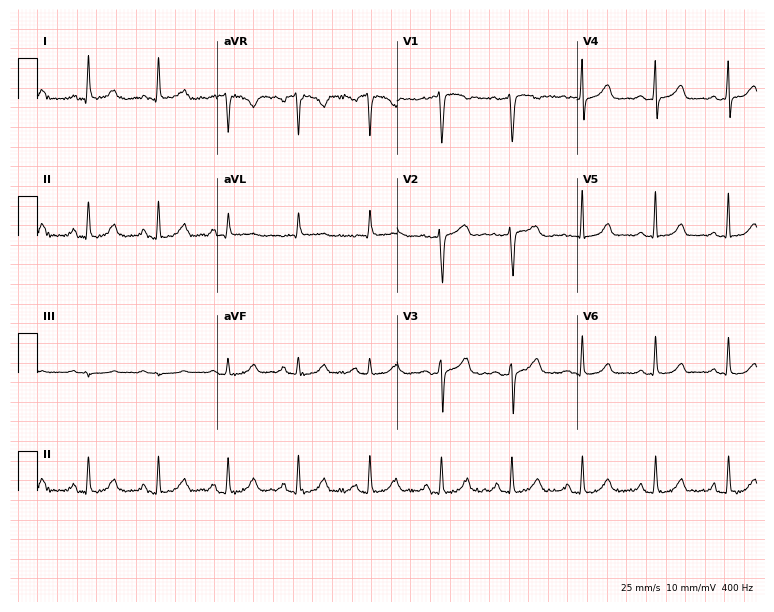
Resting 12-lead electrocardiogram (7.3-second recording at 400 Hz). Patient: a woman, 51 years old. Read as a normal ECG.